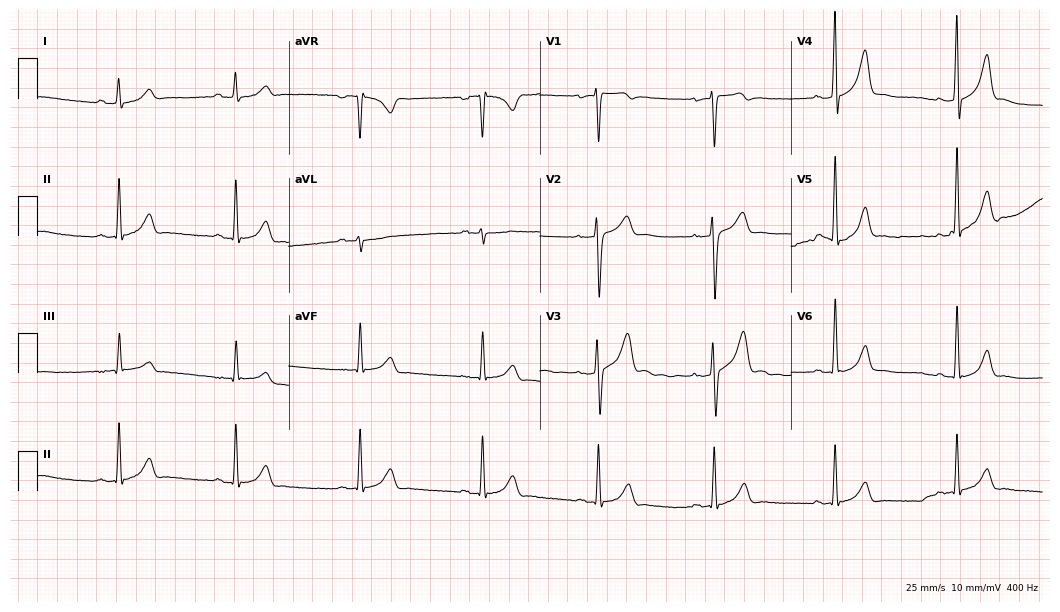
12-lead ECG from a man, 35 years old (10.2-second recording at 400 Hz). Recorded interpretation: within normal limits.